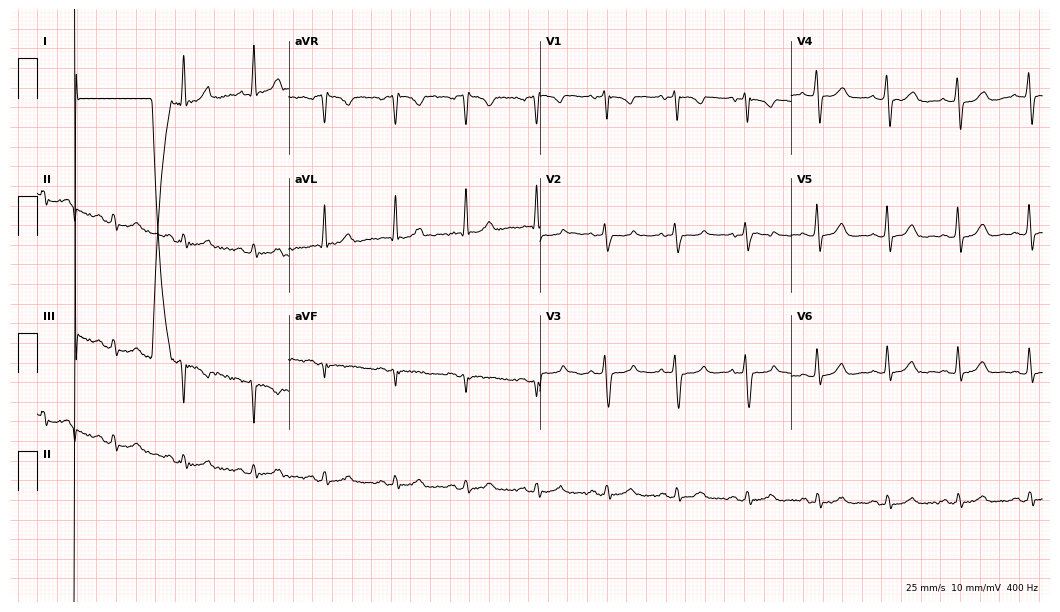
Electrocardiogram (10.2-second recording at 400 Hz), a male patient, 79 years old. Of the six screened findings (first-degree AV block, right bundle branch block (RBBB), left bundle branch block (LBBB), sinus bradycardia, atrial fibrillation (AF), sinus tachycardia), none is recorded.